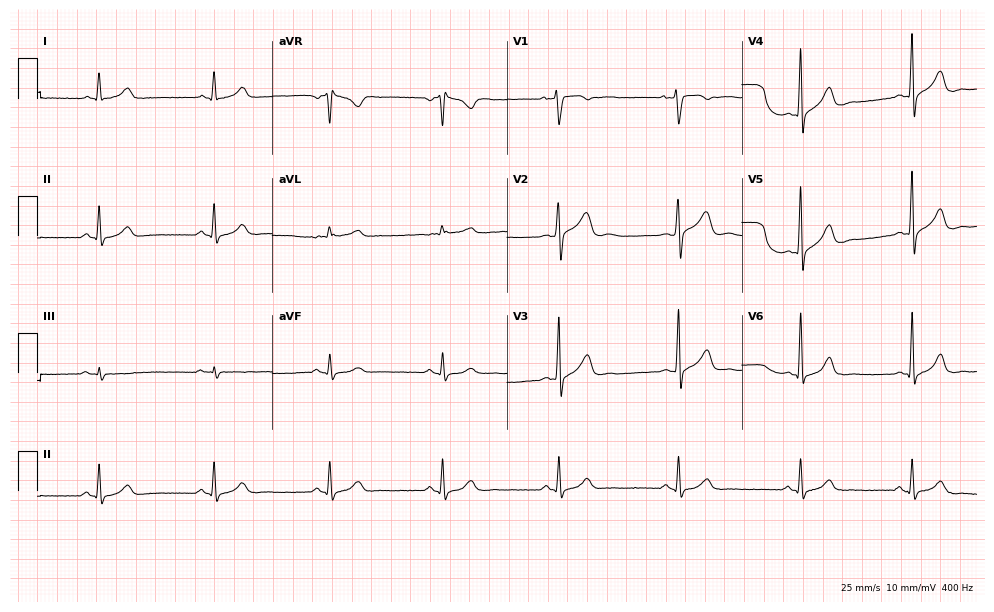
12-lead ECG from a 49-year-old man (9.6-second recording at 400 Hz). Shows sinus bradycardia (a sinus rate of 50 beats per minute or less).